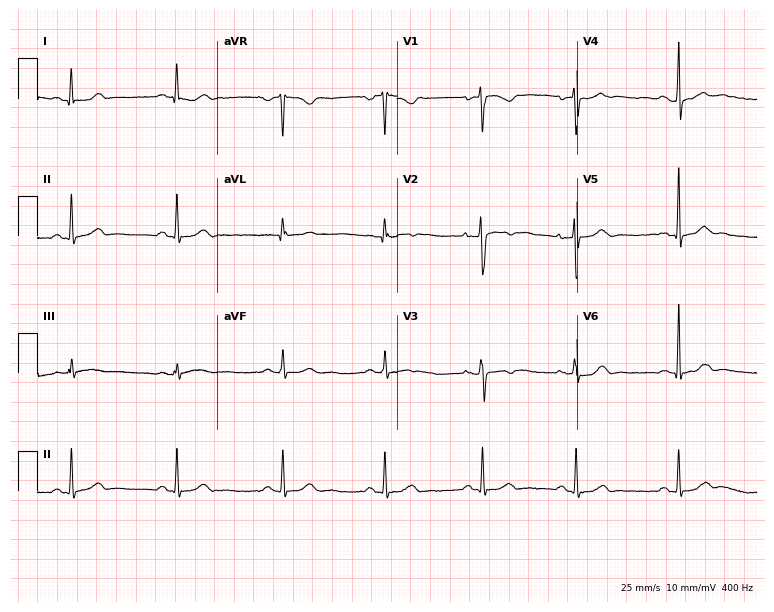
12-lead ECG from a female, 38 years old (7.3-second recording at 400 Hz). No first-degree AV block, right bundle branch block, left bundle branch block, sinus bradycardia, atrial fibrillation or sinus tachycardia recorded for this tracing. Only these six findings were labelled.